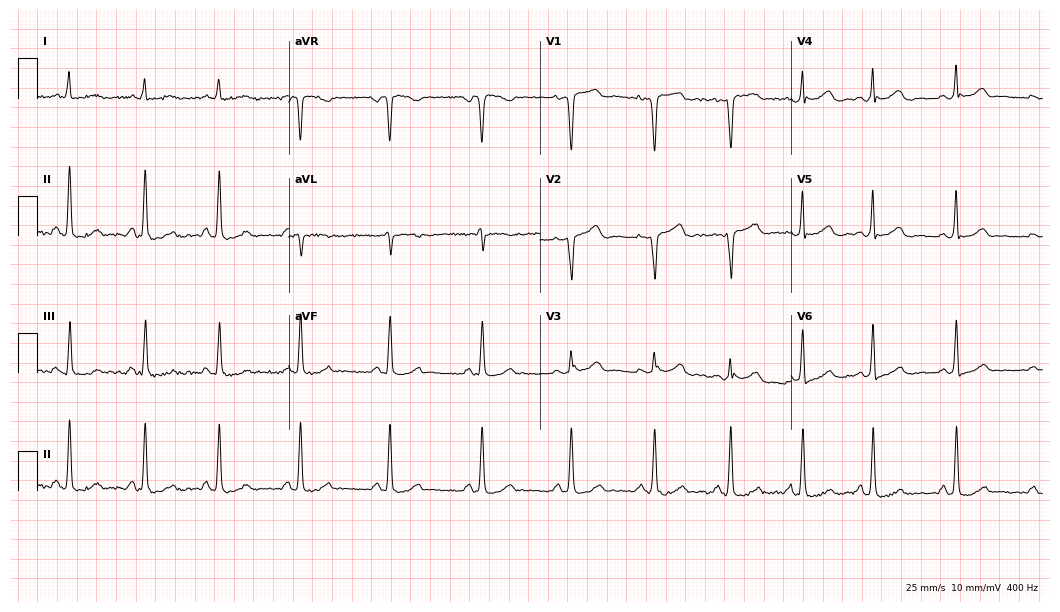
Standard 12-lead ECG recorded from a female patient, 44 years old. Read as a normal ECG.